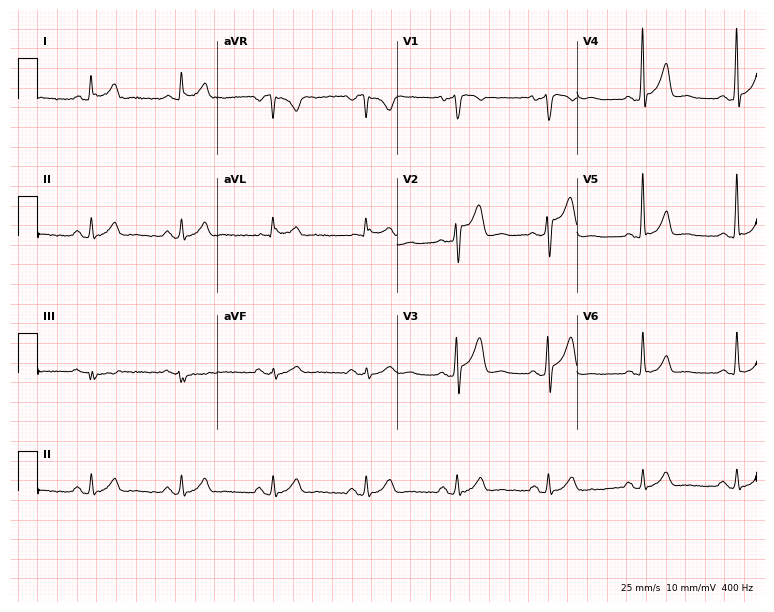
ECG — a 50-year-old male patient. Screened for six findings — first-degree AV block, right bundle branch block, left bundle branch block, sinus bradycardia, atrial fibrillation, sinus tachycardia — none is recorded. Only these six findings were labelled.